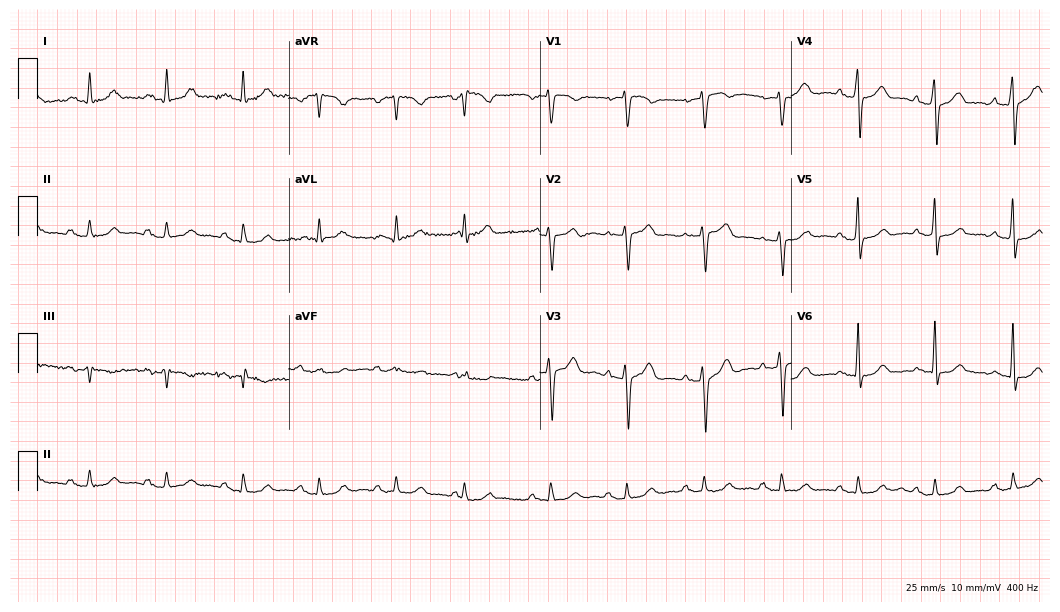
Standard 12-lead ECG recorded from a male patient, 81 years old. Read as a normal ECG.